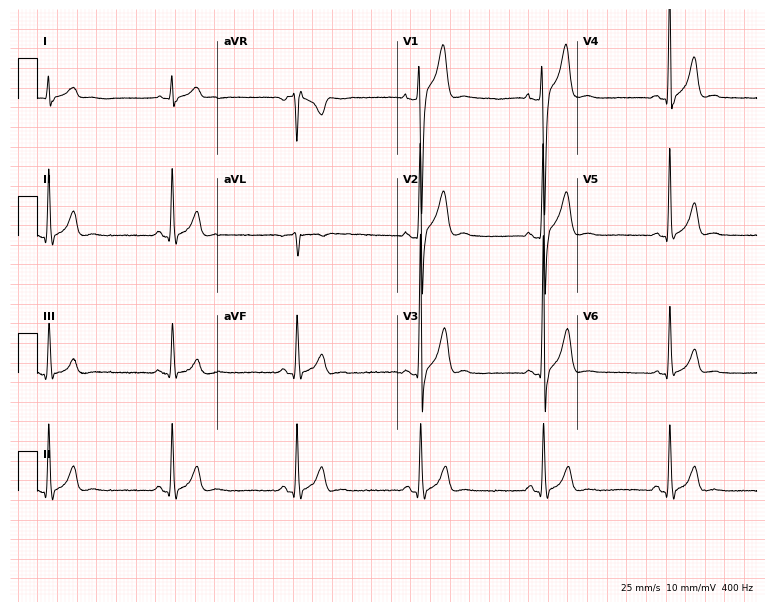
Resting 12-lead electrocardiogram (7.3-second recording at 400 Hz). Patient: a 19-year-old male. None of these six findings is recorded: first-degree AV block, right bundle branch block, left bundle branch block, sinus bradycardia, atrial fibrillation, sinus tachycardia. Other findings, if any, are not listed.